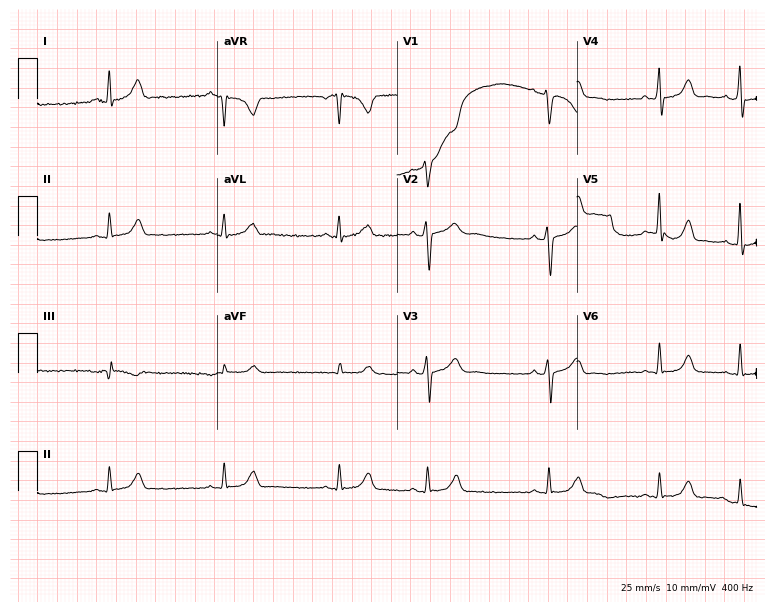
Resting 12-lead electrocardiogram (7.3-second recording at 400 Hz). Patient: a woman, 27 years old. None of these six findings is recorded: first-degree AV block, right bundle branch block, left bundle branch block, sinus bradycardia, atrial fibrillation, sinus tachycardia. Other findings, if any, are not listed.